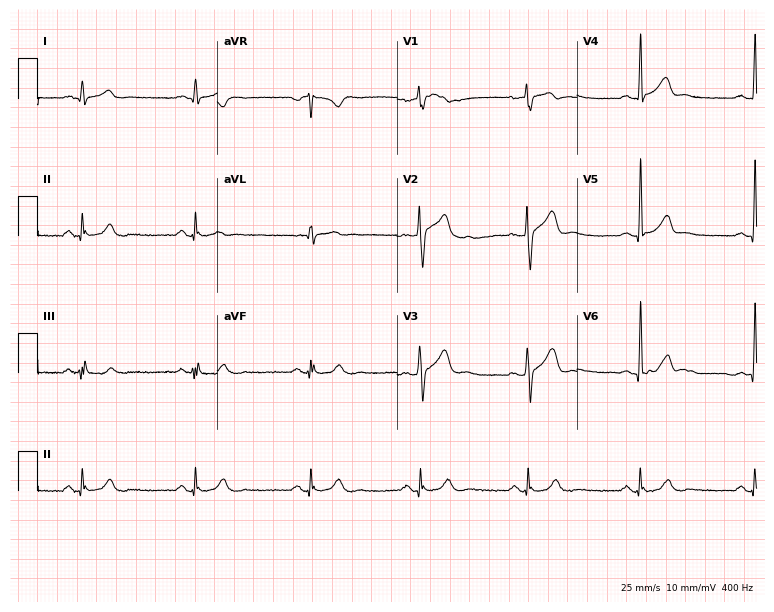
Standard 12-lead ECG recorded from a 38-year-old male (7.3-second recording at 400 Hz). Read as a normal ECG.